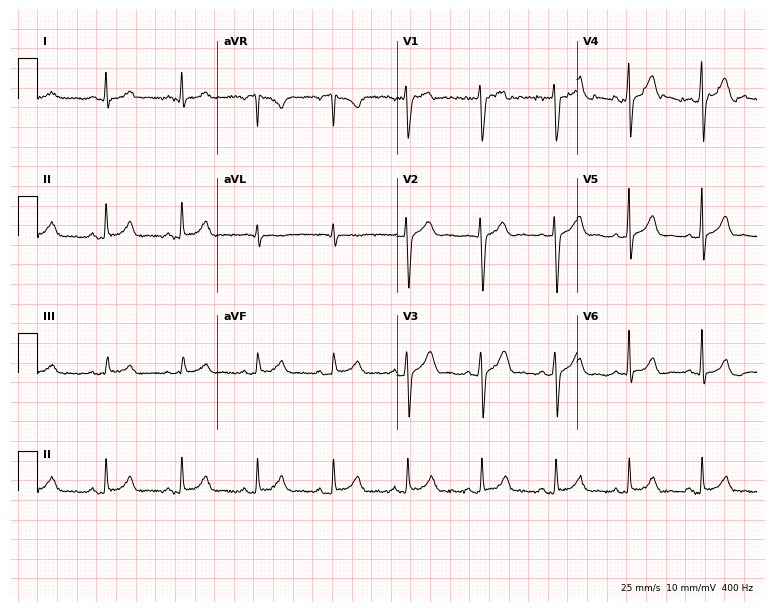
12-lead ECG (7.3-second recording at 400 Hz) from a 43-year-old male. Labelled as a normal ECG.